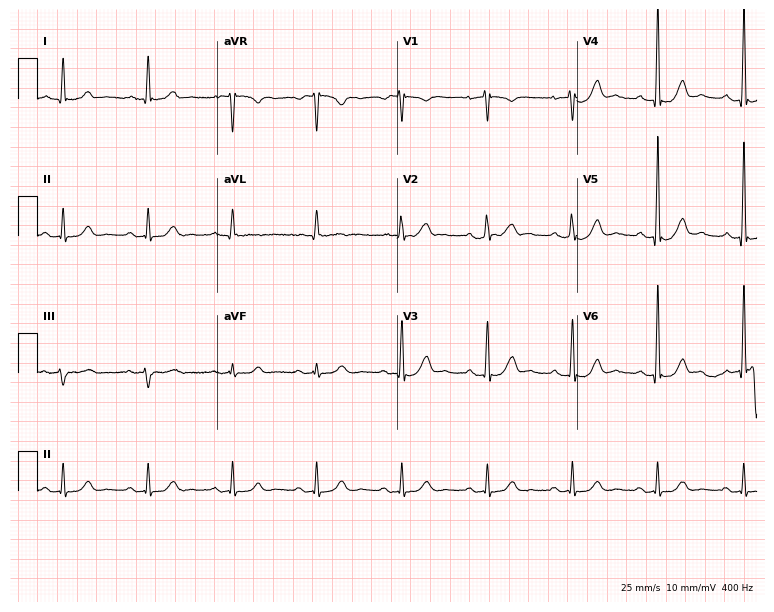
12-lead ECG from a 65-year-old man. Recorded interpretation: within normal limits.